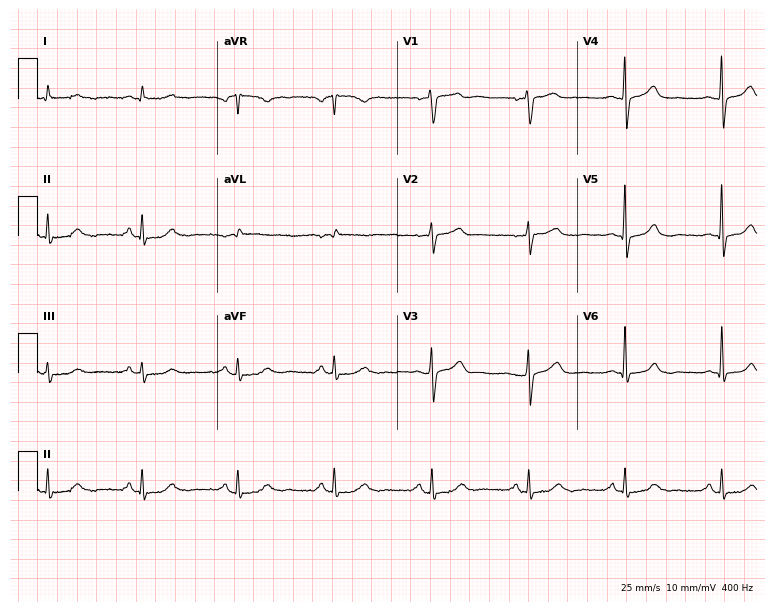
12-lead ECG (7.3-second recording at 400 Hz) from a 69-year-old male. Screened for six findings — first-degree AV block, right bundle branch block, left bundle branch block, sinus bradycardia, atrial fibrillation, sinus tachycardia — none is recorded.